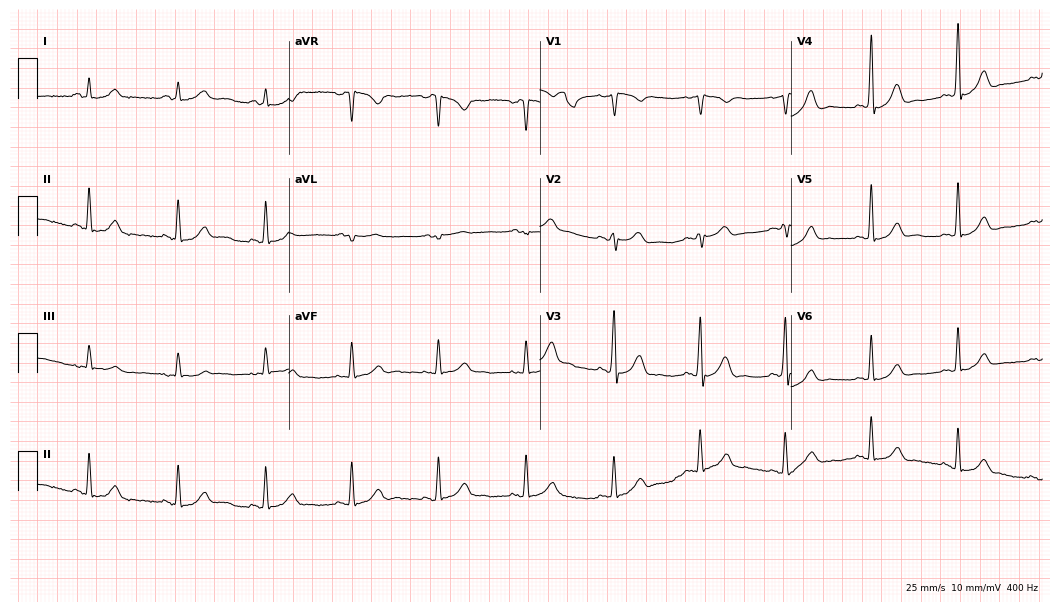
12-lead ECG from a male patient, 45 years old. Labelled as a normal ECG.